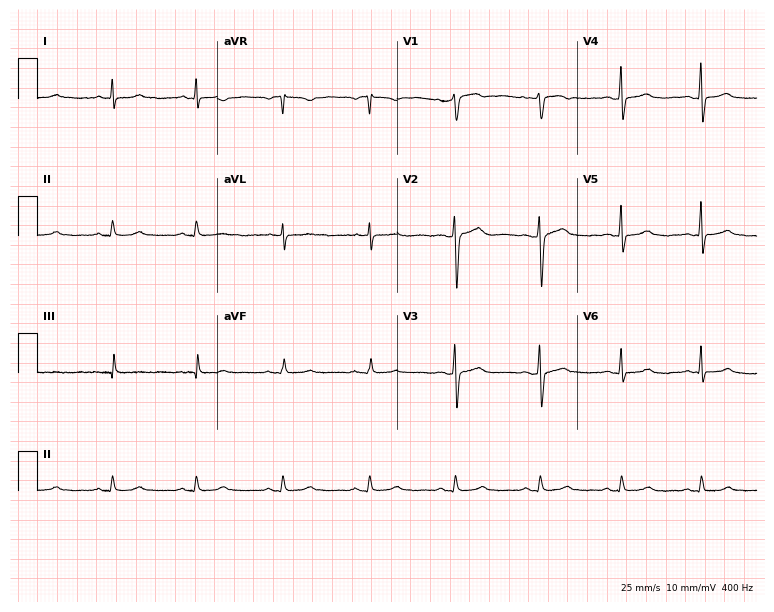
12-lead ECG (7.3-second recording at 400 Hz) from a woman, 38 years old. Labelled as a normal ECG.